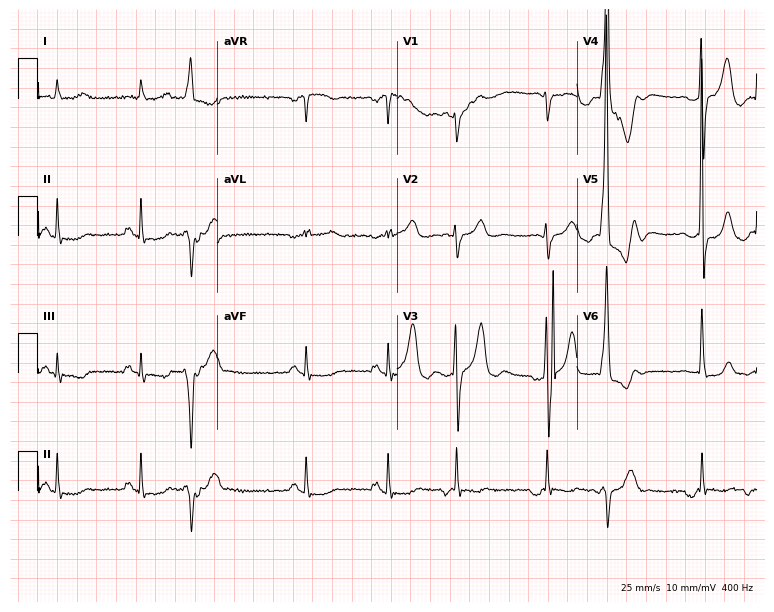
Standard 12-lead ECG recorded from a man, 77 years old. None of these six findings is recorded: first-degree AV block, right bundle branch block (RBBB), left bundle branch block (LBBB), sinus bradycardia, atrial fibrillation (AF), sinus tachycardia. Only these six findings were labelled.